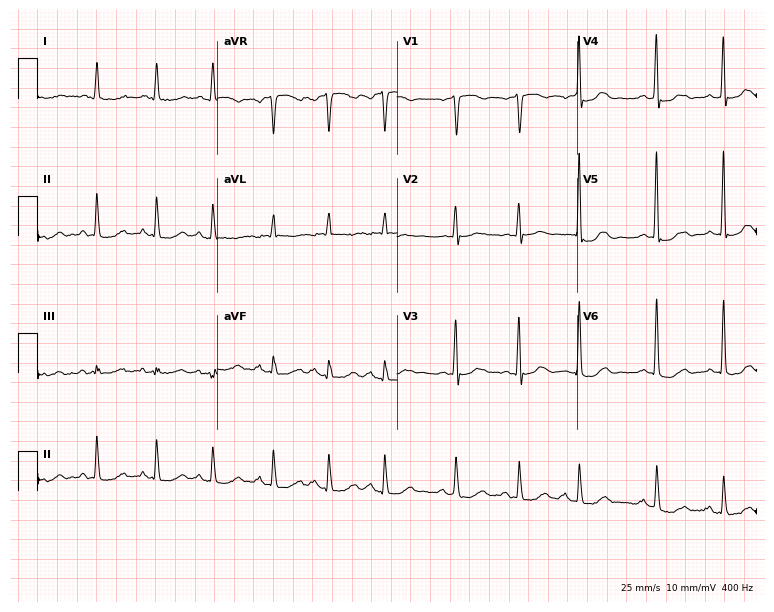
ECG — a 75-year-old female. Screened for six findings — first-degree AV block, right bundle branch block, left bundle branch block, sinus bradycardia, atrial fibrillation, sinus tachycardia — none is recorded. Other findings, if any, are not listed.